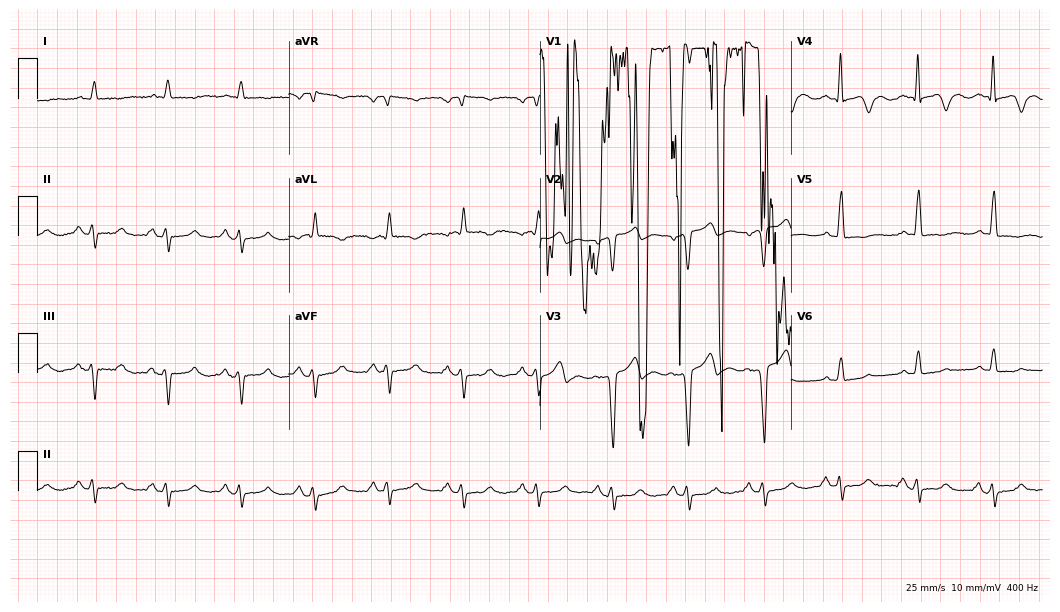
12-lead ECG from a male patient, 65 years old (10.2-second recording at 400 Hz). No first-degree AV block, right bundle branch block, left bundle branch block, sinus bradycardia, atrial fibrillation or sinus tachycardia recorded for this tracing.